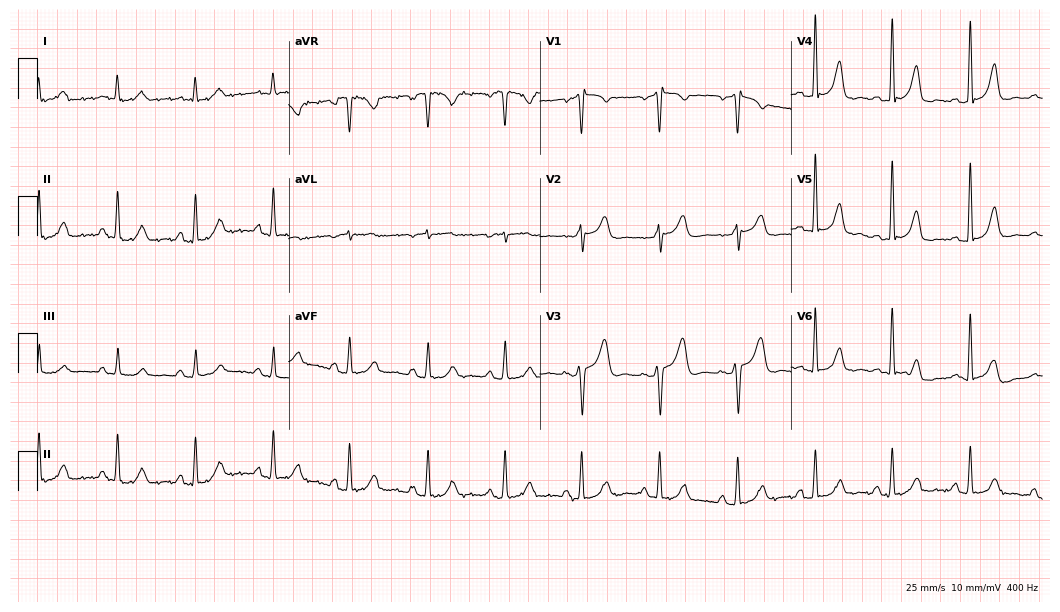
12-lead ECG from a 67-year-old woman (10.2-second recording at 400 Hz). Recorded interpretation: within normal limits.